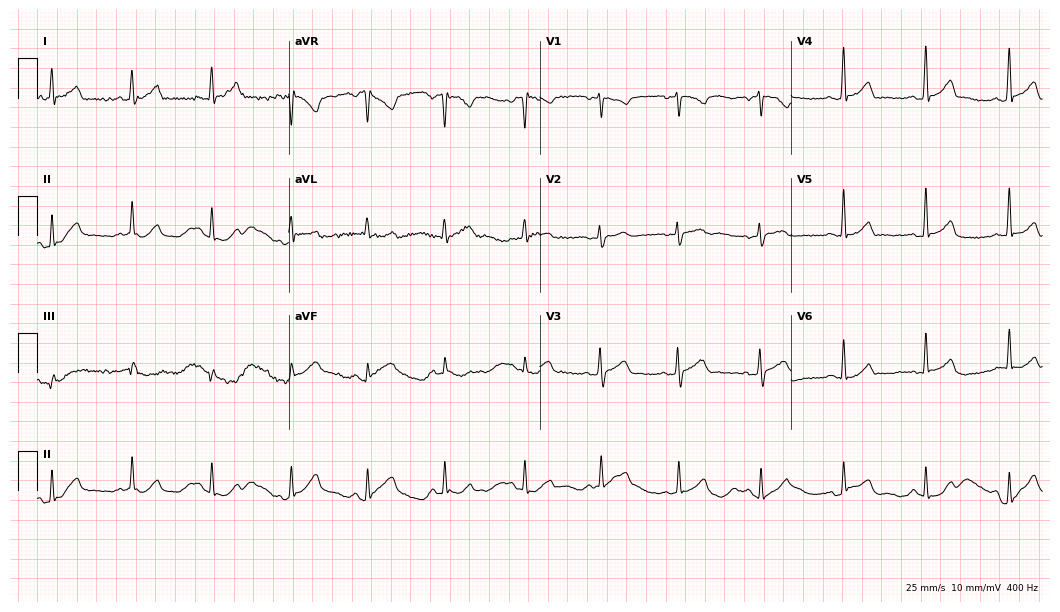
Standard 12-lead ECG recorded from a female patient, 32 years old. None of these six findings is recorded: first-degree AV block, right bundle branch block (RBBB), left bundle branch block (LBBB), sinus bradycardia, atrial fibrillation (AF), sinus tachycardia. Only these six findings were labelled.